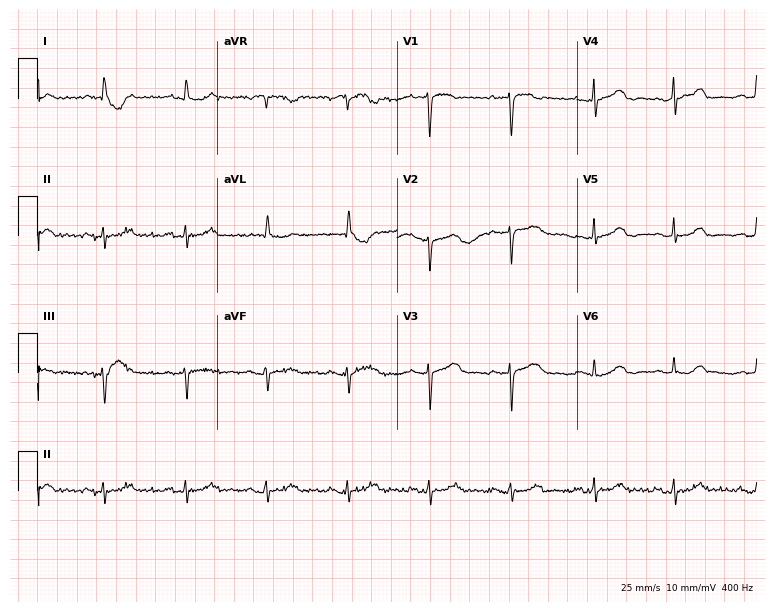
ECG (7.3-second recording at 400 Hz) — a 75-year-old female. Screened for six findings — first-degree AV block, right bundle branch block, left bundle branch block, sinus bradycardia, atrial fibrillation, sinus tachycardia — none is recorded. Other findings, if any, are not listed.